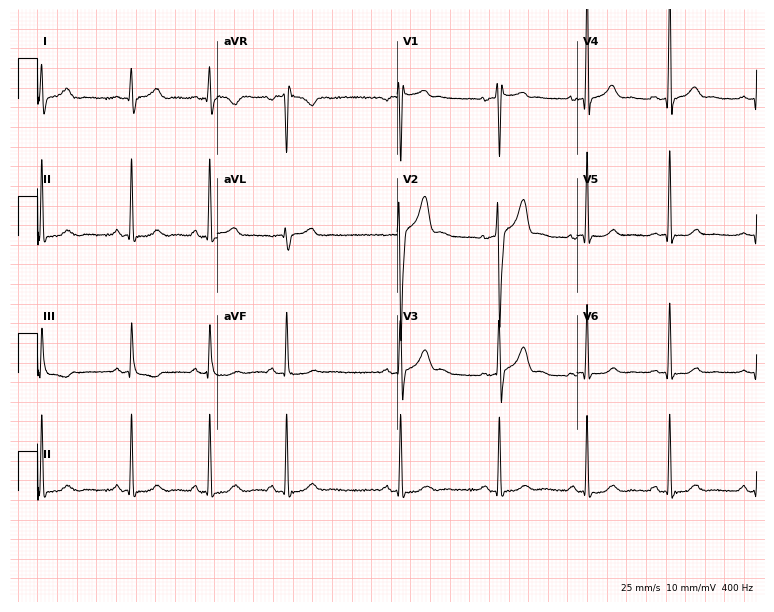
12-lead ECG from a 28-year-old man. Recorded interpretation: within normal limits.